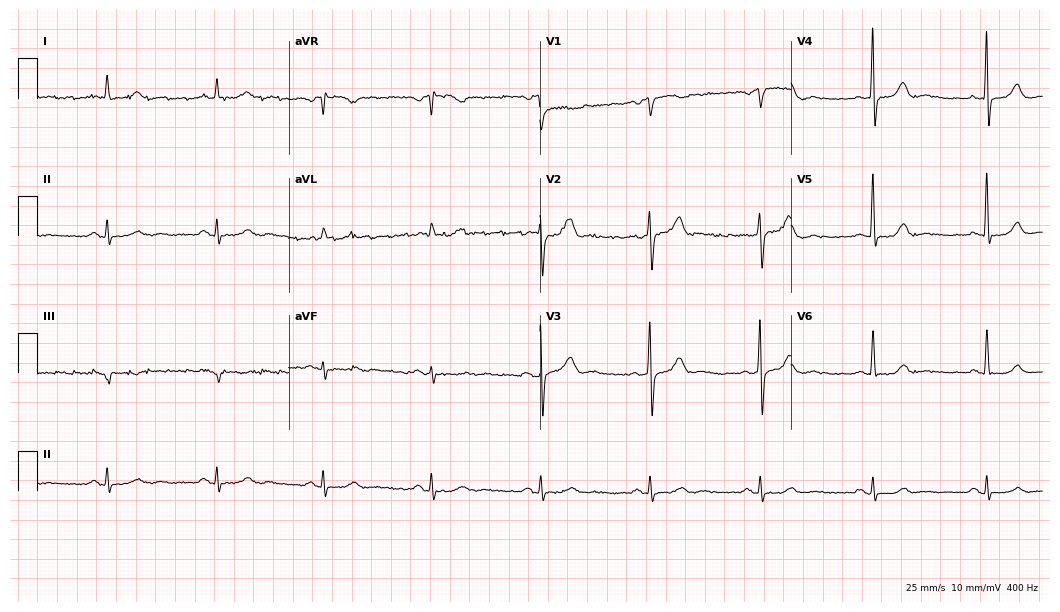
Resting 12-lead electrocardiogram. Patient: a man, 82 years old. None of these six findings is recorded: first-degree AV block, right bundle branch block (RBBB), left bundle branch block (LBBB), sinus bradycardia, atrial fibrillation (AF), sinus tachycardia.